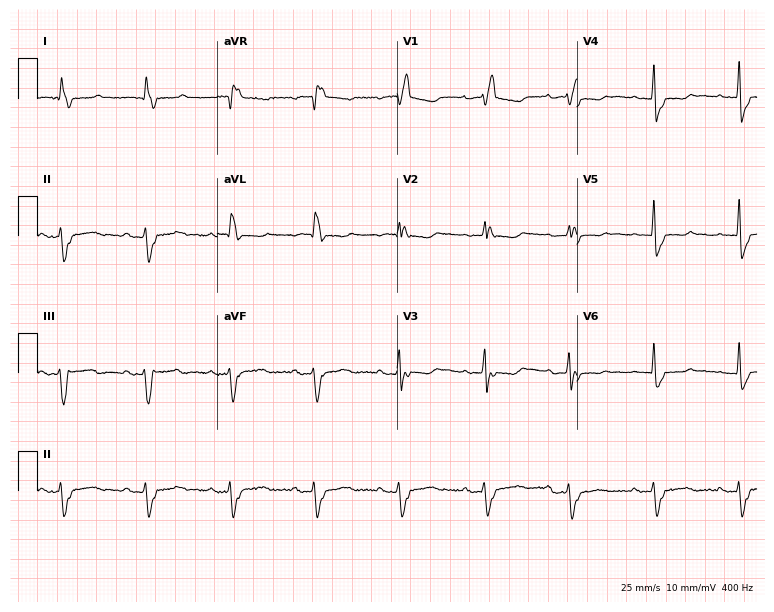
ECG — a woman, 72 years old. Findings include right bundle branch block.